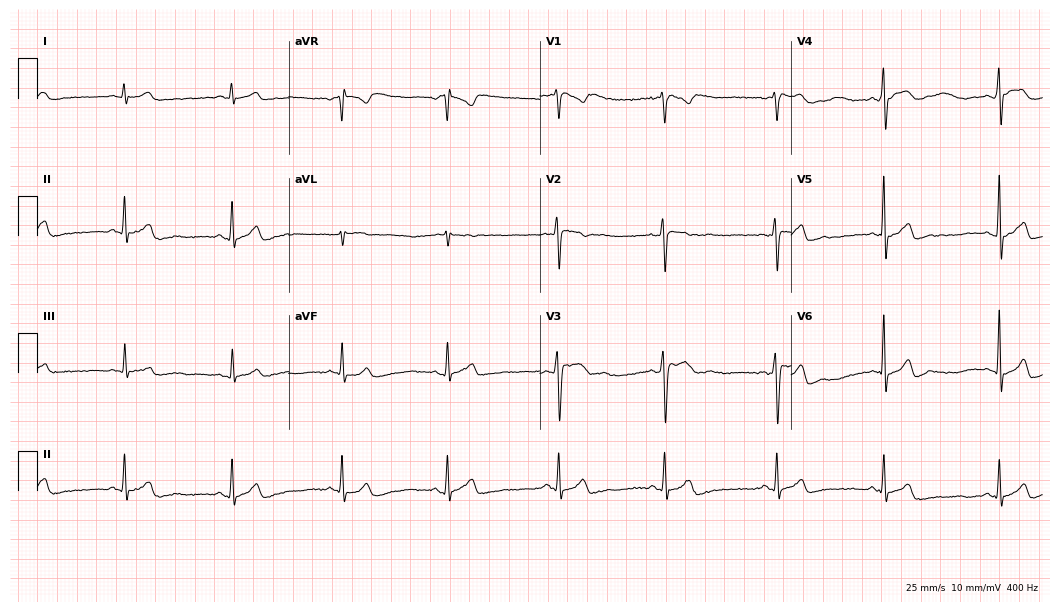
Resting 12-lead electrocardiogram (10.2-second recording at 400 Hz). Patient: a 17-year-old male. Read as a normal ECG.